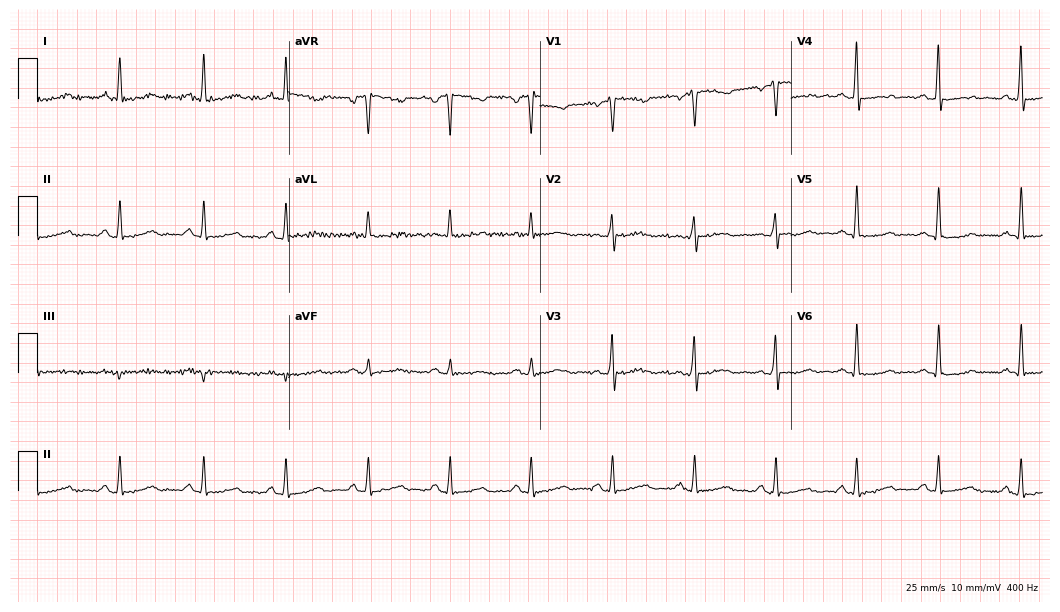
Resting 12-lead electrocardiogram. Patient: a 66-year-old woman. Read as a normal ECG.